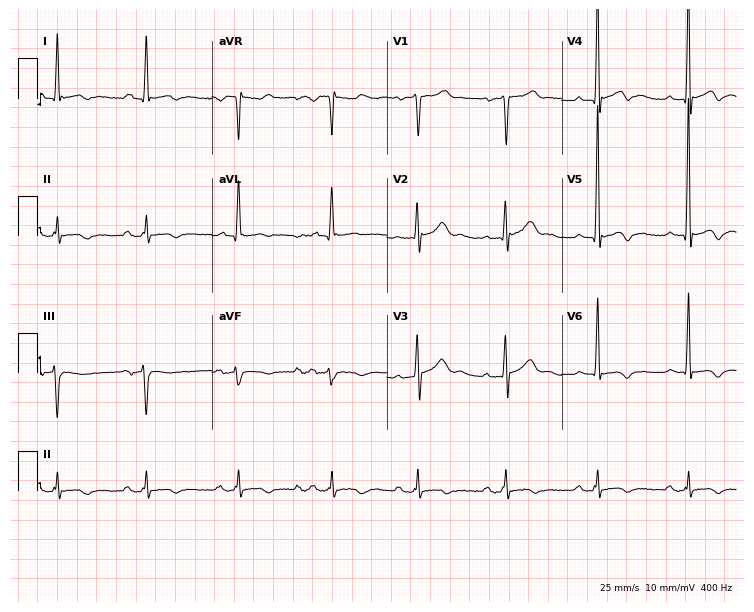
Resting 12-lead electrocardiogram. Patient: a male, 65 years old. None of these six findings is recorded: first-degree AV block, right bundle branch block, left bundle branch block, sinus bradycardia, atrial fibrillation, sinus tachycardia.